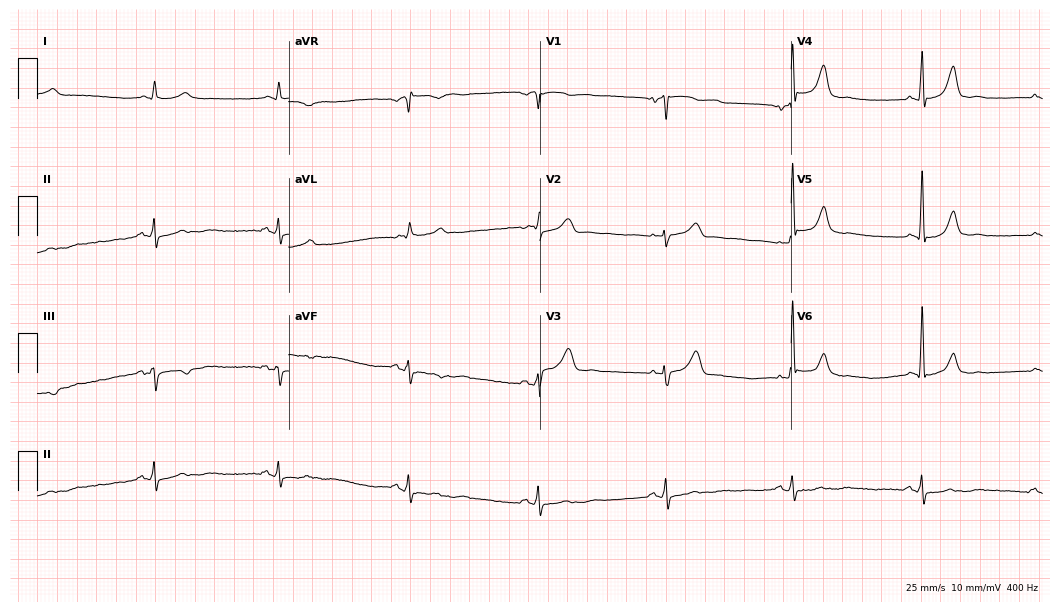
12-lead ECG from a male patient, 79 years old. Labelled as a normal ECG.